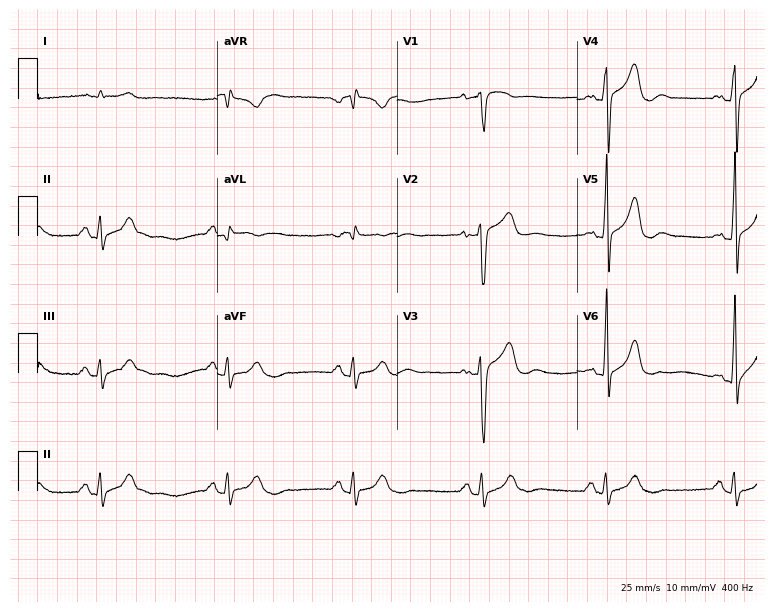
ECG — a 70-year-old male. Labelled as a normal ECG.